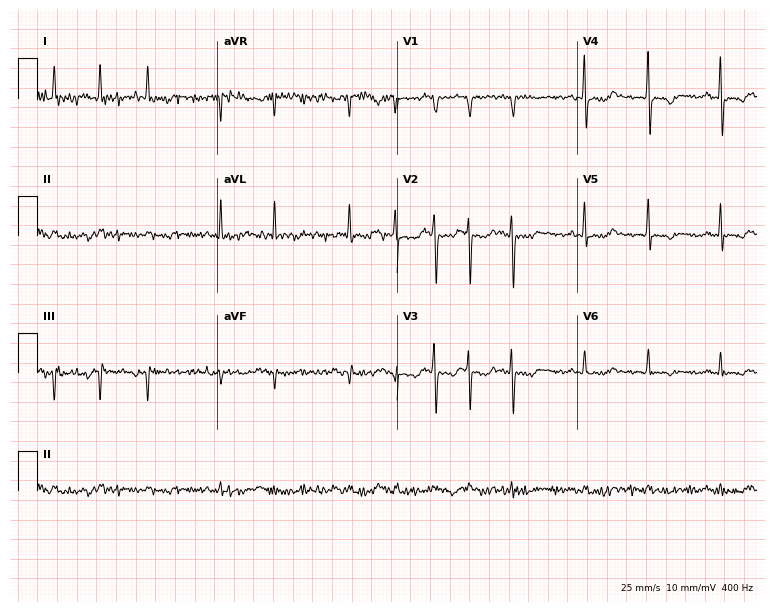
Standard 12-lead ECG recorded from a male patient, 70 years old. The tracing shows atrial fibrillation, sinus tachycardia (a sinus rate of 100 beats per minute or more).